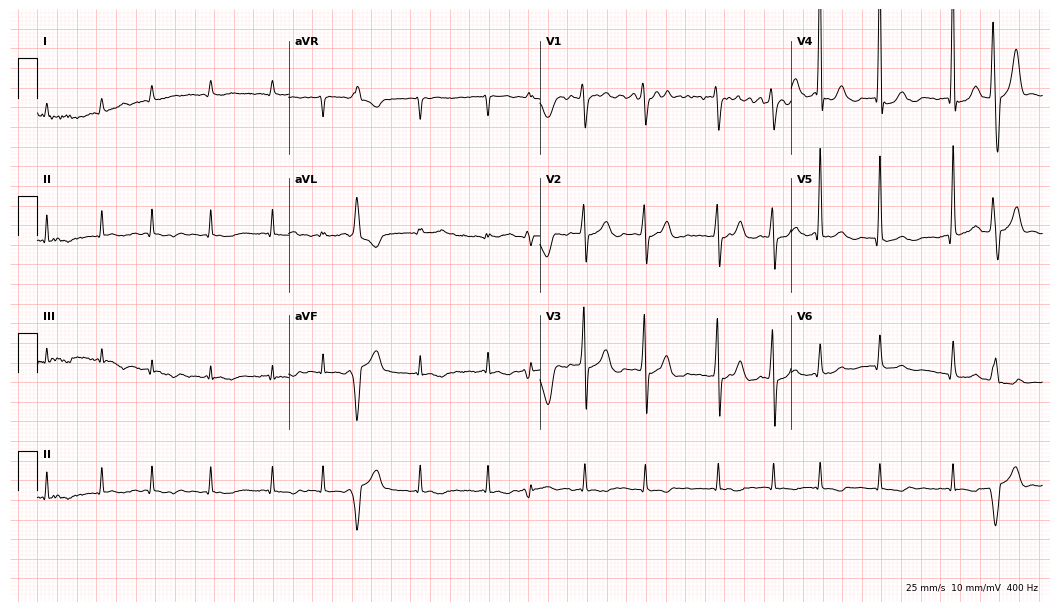
Resting 12-lead electrocardiogram (10.2-second recording at 400 Hz). Patient: an 82-year-old man. The tracing shows atrial fibrillation.